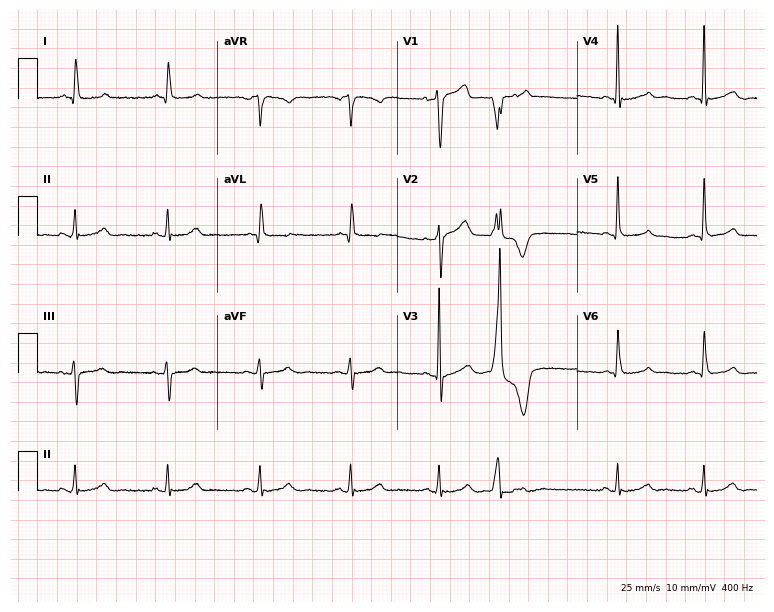
ECG — a male, 72 years old. Labelled as a normal ECG.